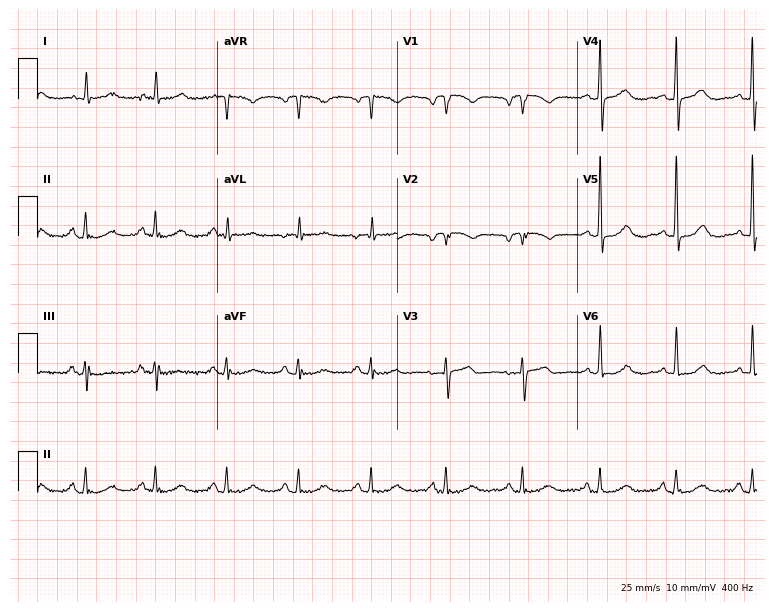
12-lead ECG from a 68-year-old woman (7.3-second recording at 400 Hz). No first-degree AV block, right bundle branch block (RBBB), left bundle branch block (LBBB), sinus bradycardia, atrial fibrillation (AF) or sinus tachycardia recorded for this tracing. Other findings, if any, are not listed.